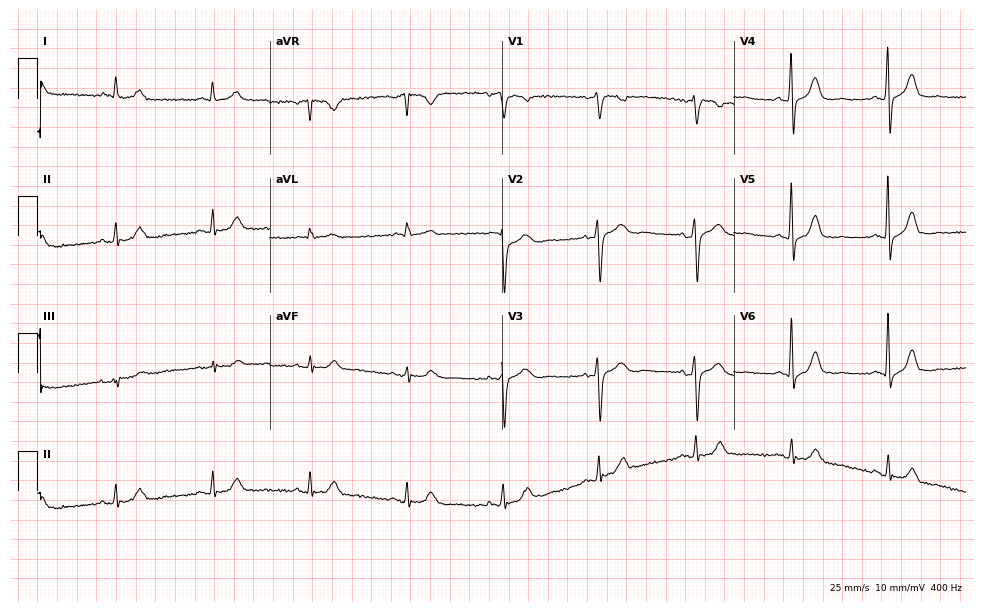
12-lead ECG from a 68-year-old male patient. Screened for six findings — first-degree AV block, right bundle branch block, left bundle branch block, sinus bradycardia, atrial fibrillation, sinus tachycardia — none is recorded. Only these six findings were labelled.